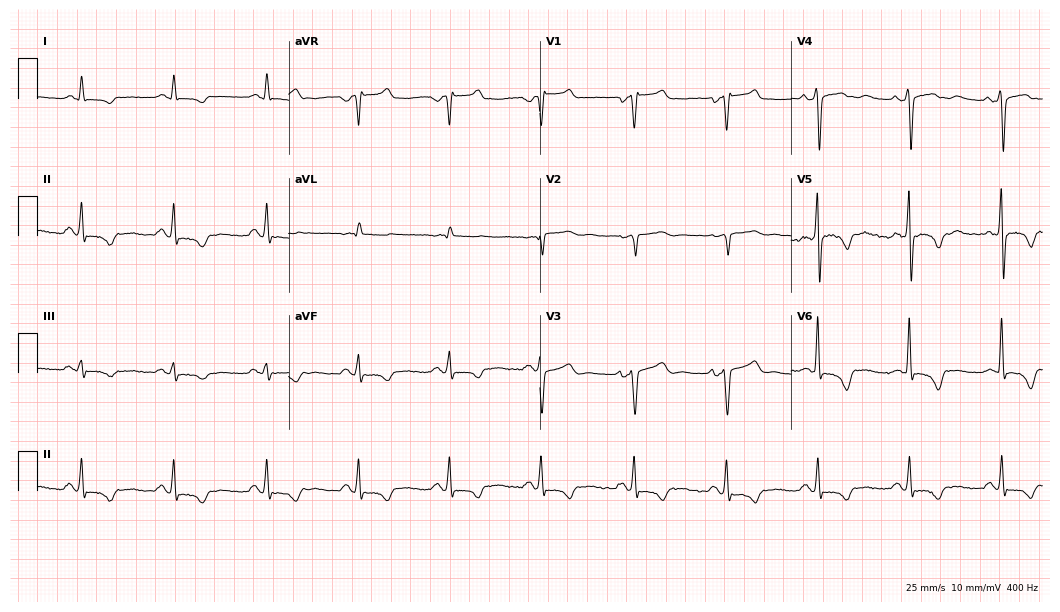
12-lead ECG (10.2-second recording at 400 Hz) from a 59-year-old male. Screened for six findings — first-degree AV block, right bundle branch block (RBBB), left bundle branch block (LBBB), sinus bradycardia, atrial fibrillation (AF), sinus tachycardia — none is recorded.